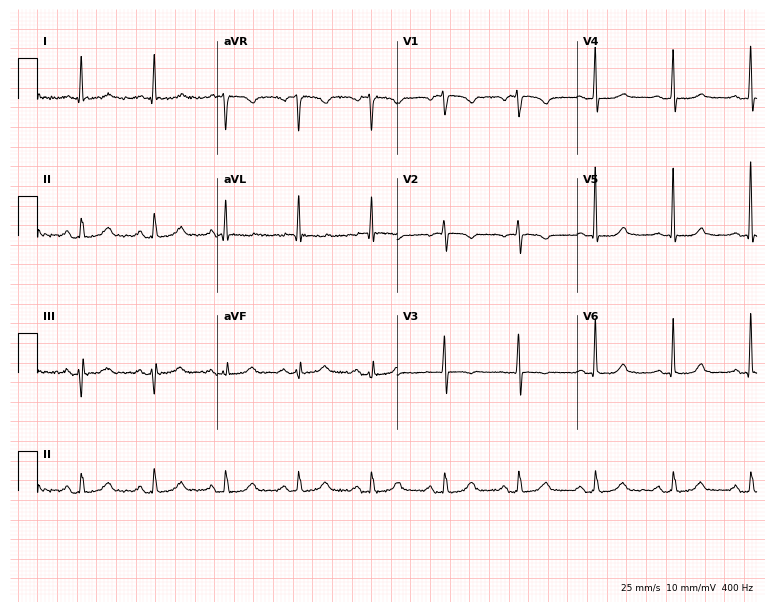
Standard 12-lead ECG recorded from a female patient, 71 years old (7.3-second recording at 400 Hz). None of these six findings is recorded: first-degree AV block, right bundle branch block, left bundle branch block, sinus bradycardia, atrial fibrillation, sinus tachycardia.